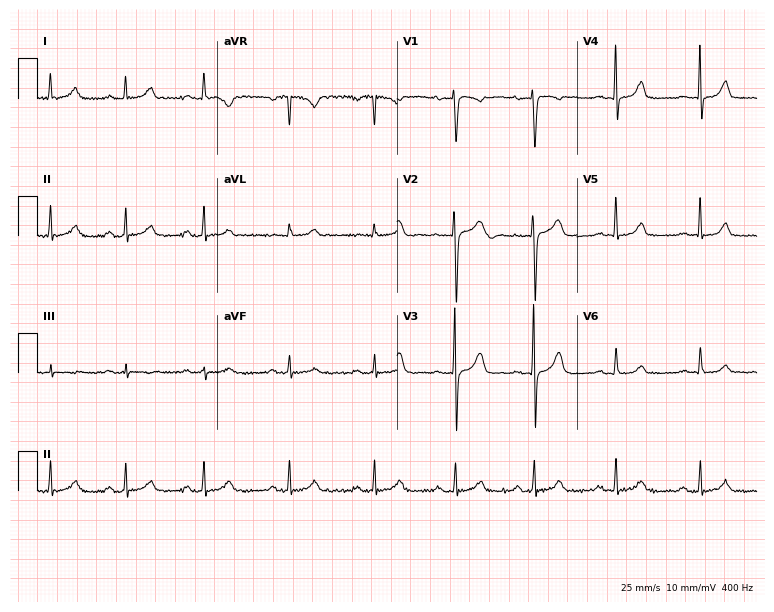
12-lead ECG (7.3-second recording at 400 Hz) from a female patient, 33 years old. Screened for six findings — first-degree AV block, right bundle branch block (RBBB), left bundle branch block (LBBB), sinus bradycardia, atrial fibrillation (AF), sinus tachycardia — none is recorded.